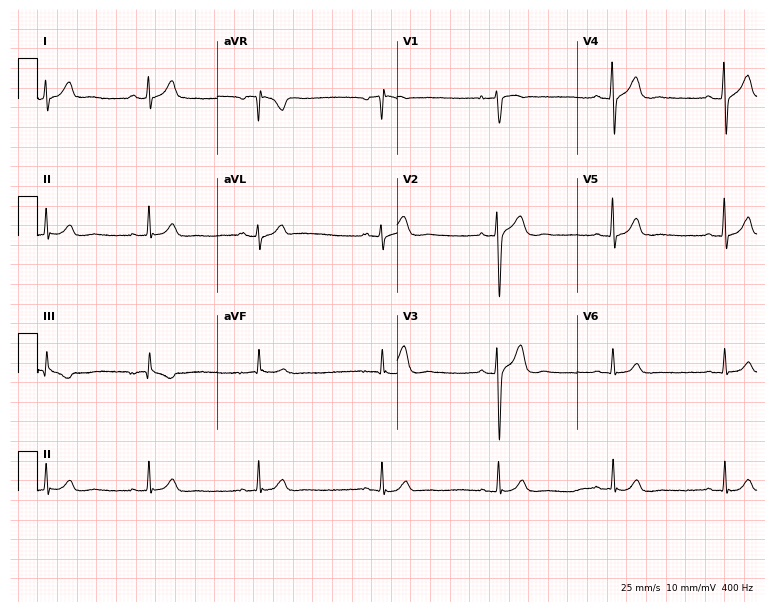
Standard 12-lead ECG recorded from a man, 31 years old (7.3-second recording at 400 Hz). None of these six findings is recorded: first-degree AV block, right bundle branch block (RBBB), left bundle branch block (LBBB), sinus bradycardia, atrial fibrillation (AF), sinus tachycardia. Only these six findings were labelled.